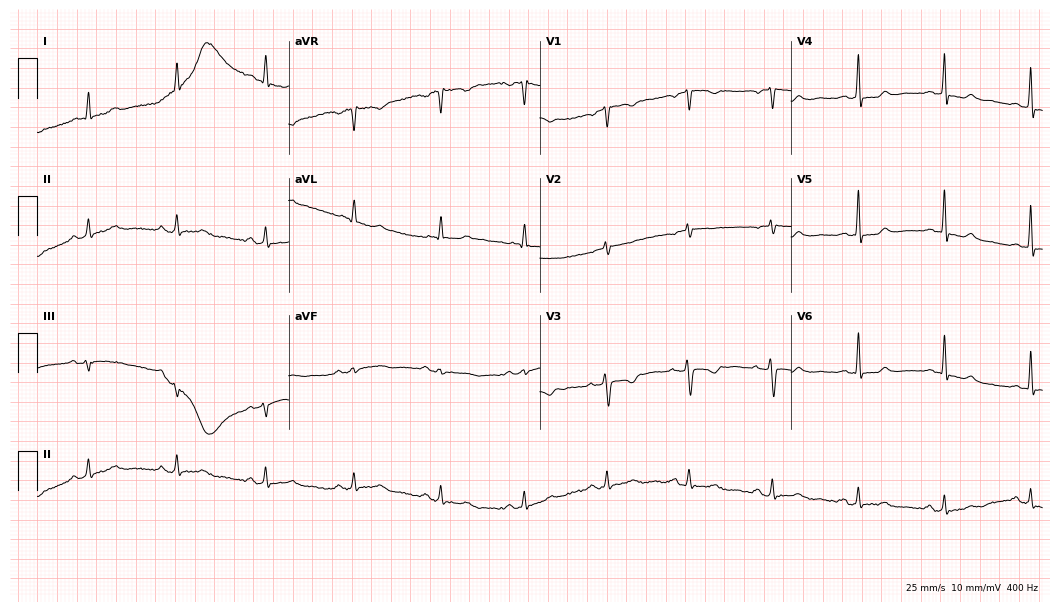
Electrocardiogram (10.2-second recording at 400 Hz), a 67-year-old woman. Overall reading on record: normal ECG.